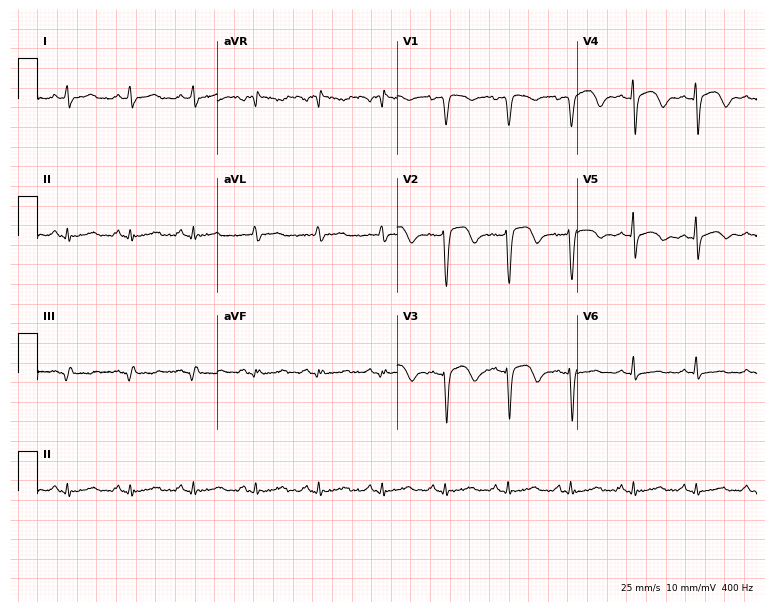
ECG (7.3-second recording at 400 Hz) — a female patient, 26 years old. Labelled as a normal ECG.